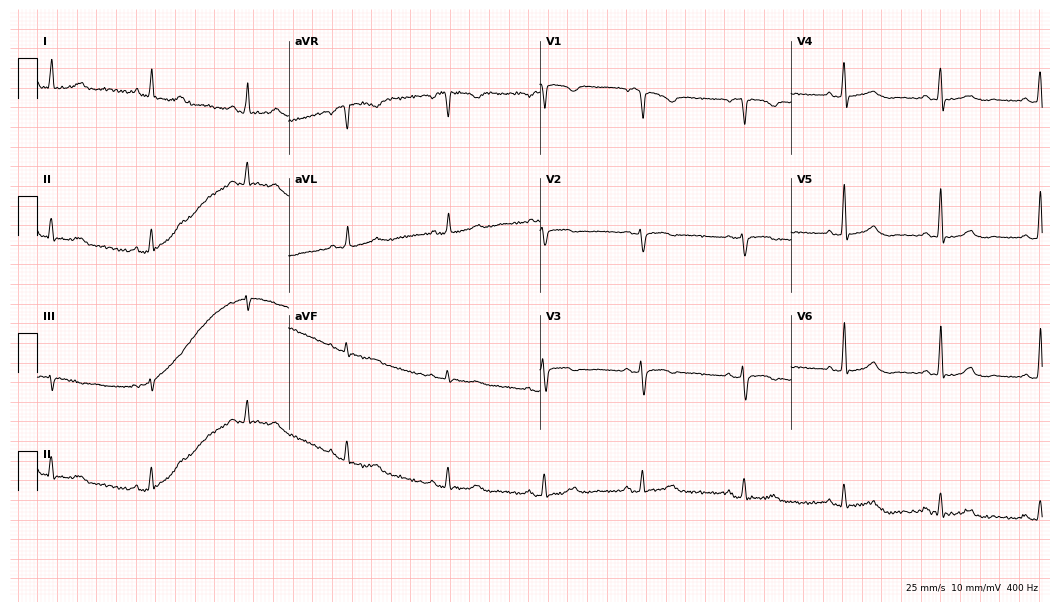
12-lead ECG from a female patient, 62 years old. Recorded interpretation: within normal limits.